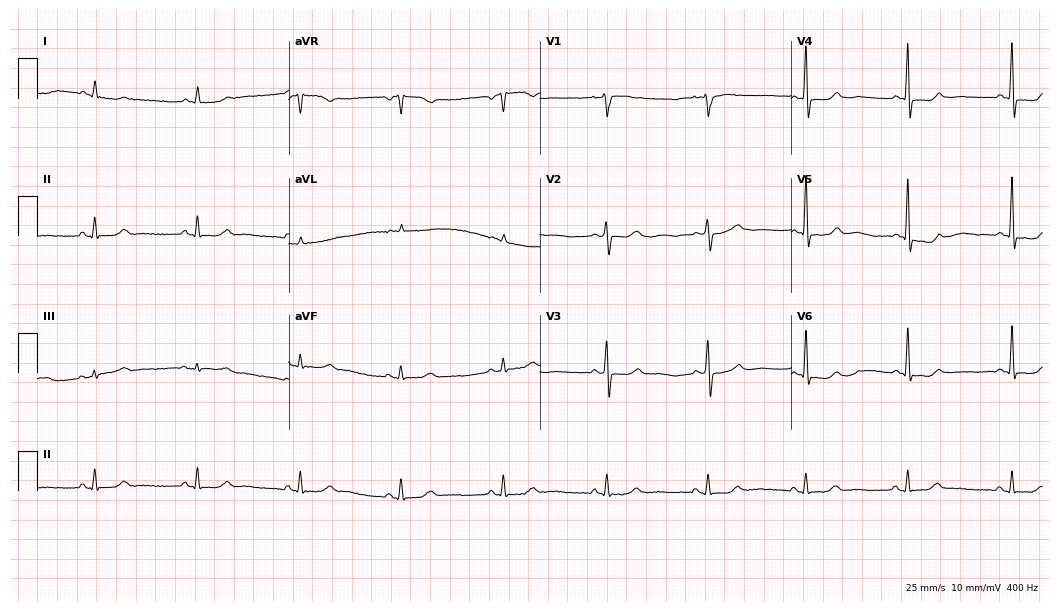
ECG — a 54-year-old female. Labelled as a normal ECG.